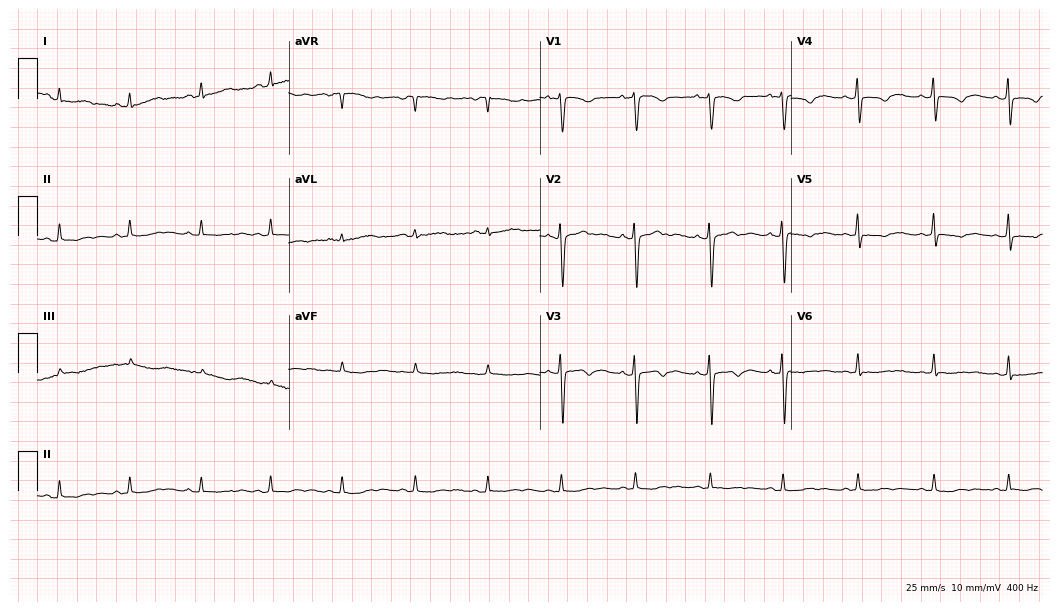
Electrocardiogram (10.2-second recording at 400 Hz), a woman, 29 years old. Of the six screened findings (first-degree AV block, right bundle branch block, left bundle branch block, sinus bradycardia, atrial fibrillation, sinus tachycardia), none is recorded.